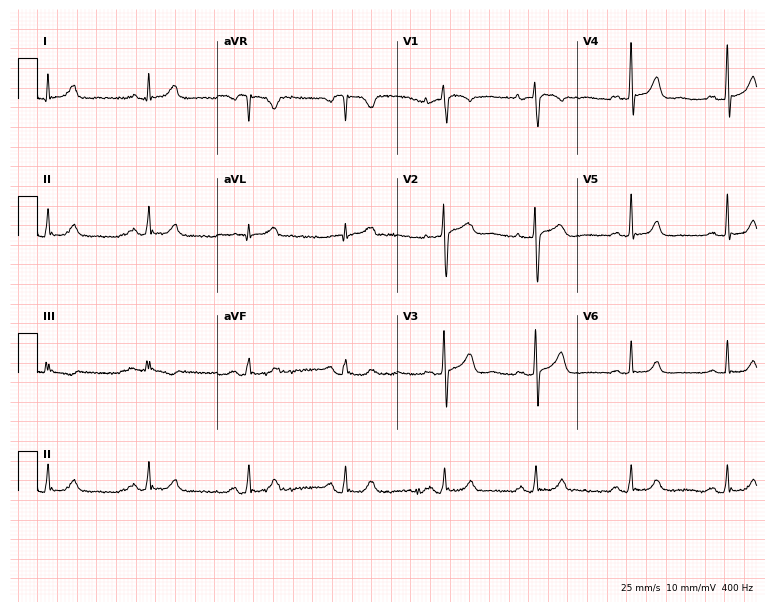
ECG — a 50-year-old woman. Screened for six findings — first-degree AV block, right bundle branch block, left bundle branch block, sinus bradycardia, atrial fibrillation, sinus tachycardia — none is recorded. Only these six findings were labelled.